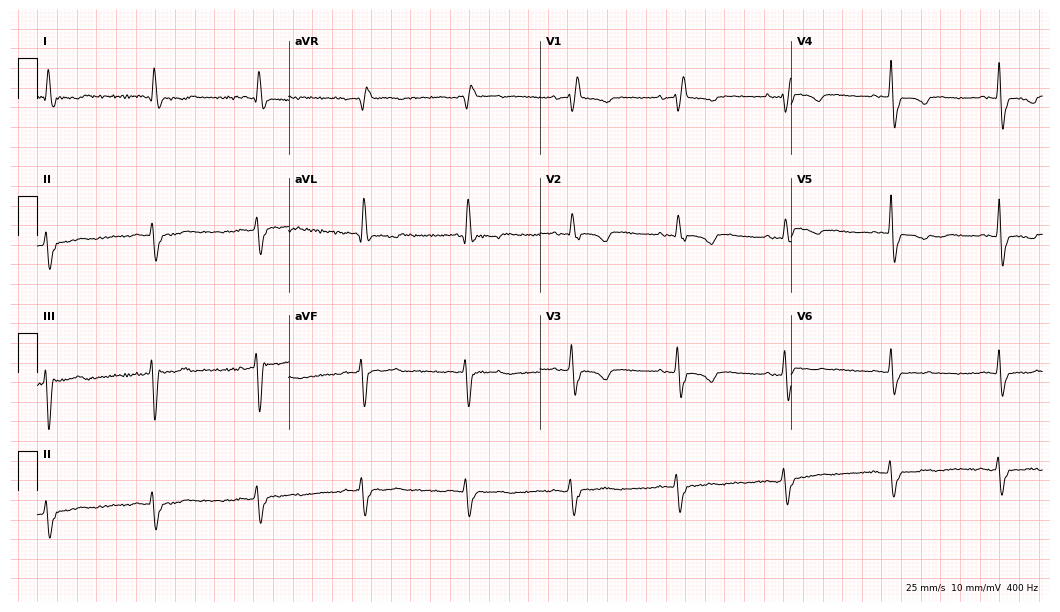
Electrocardiogram, a woman, 85 years old. Of the six screened findings (first-degree AV block, right bundle branch block, left bundle branch block, sinus bradycardia, atrial fibrillation, sinus tachycardia), none is recorded.